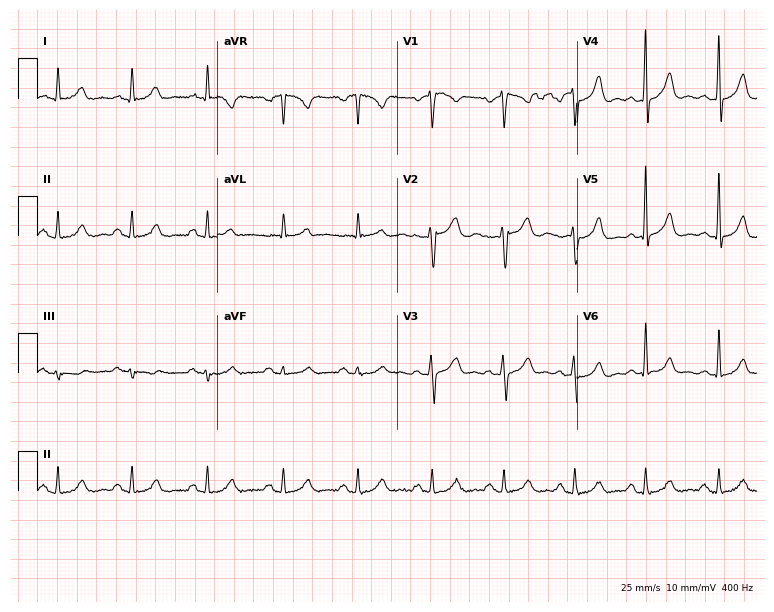
Electrocardiogram, a 49-year-old male patient. Overall reading on record: normal ECG.